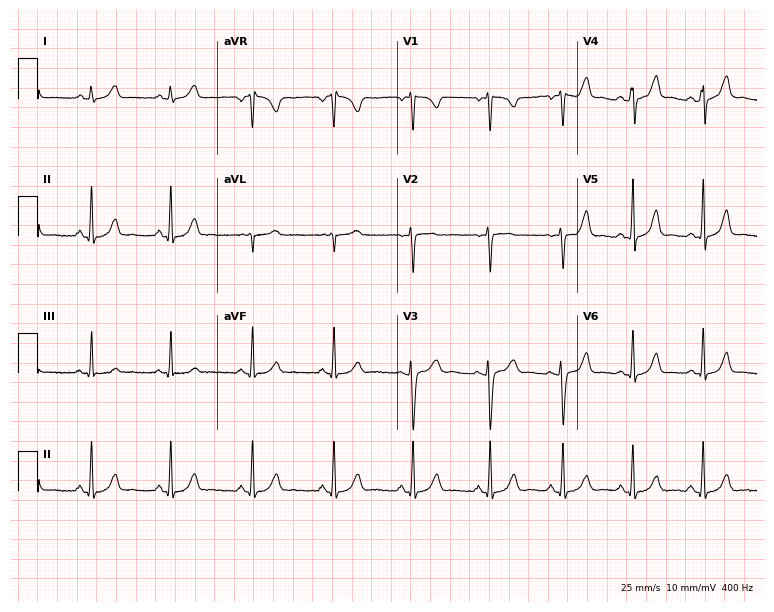
Resting 12-lead electrocardiogram (7.3-second recording at 400 Hz). Patient: a female, 20 years old. Read as a normal ECG.